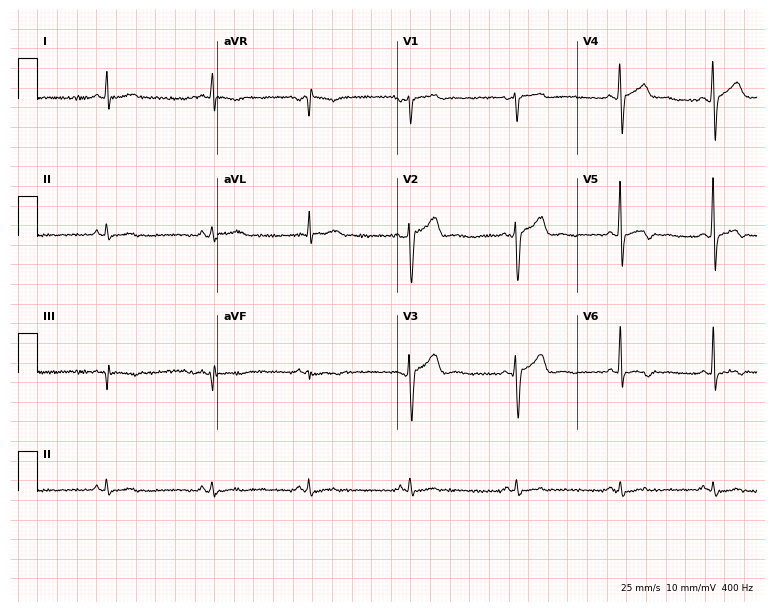
Standard 12-lead ECG recorded from a female, 39 years old. Read as a normal ECG.